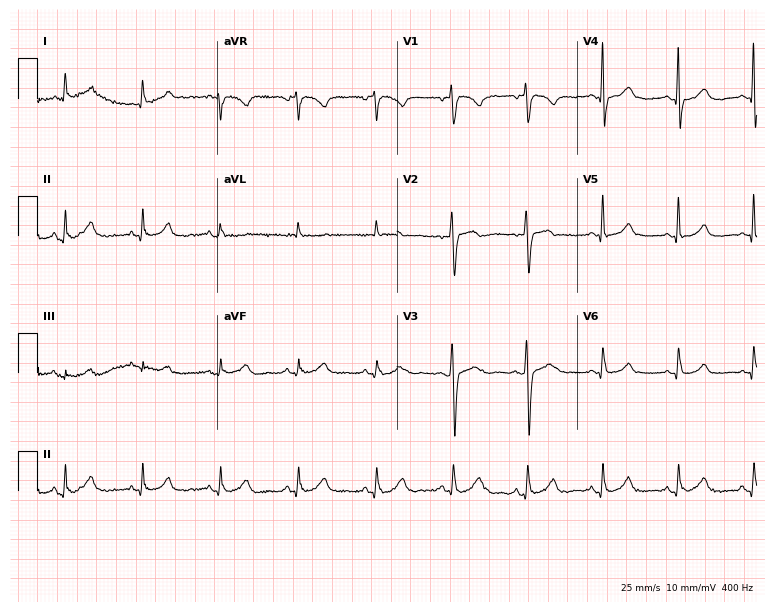
ECG — a female patient, 48 years old. Screened for six findings — first-degree AV block, right bundle branch block, left bundle branch block, sinus bradycardia, atrial fibrillation, sinus tachycardia — none is recorded. Findings outside these six are not listed.